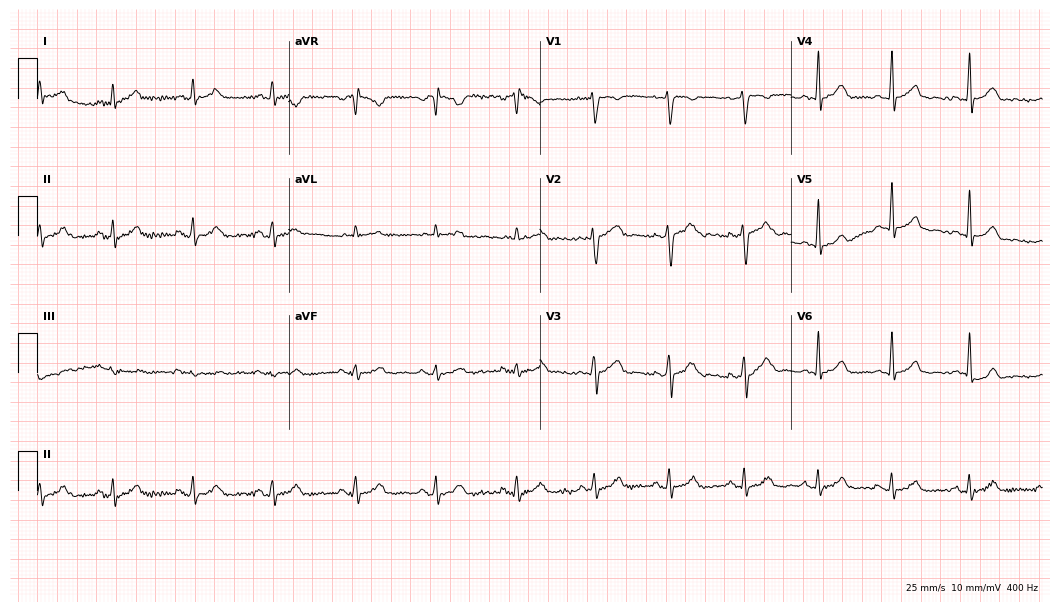
Standard 12-lead ECG recorded from a female patient, 30 years old (10.2-second recording at 400 Hz). Read as a normal ECG.